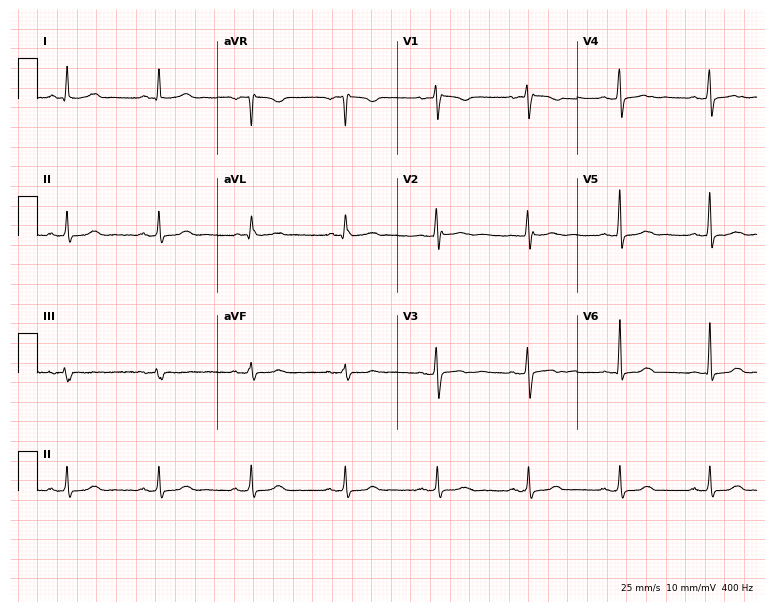
Standard 12-lead ECG recorded from a woman, 48 years old. None of these six findings is recorded: first-degree AV block, right bundle branch block, left bundle branch block, sinus bradycardia, atrial fibrillation, sinus tachycardia. Only these six findings were labelled.